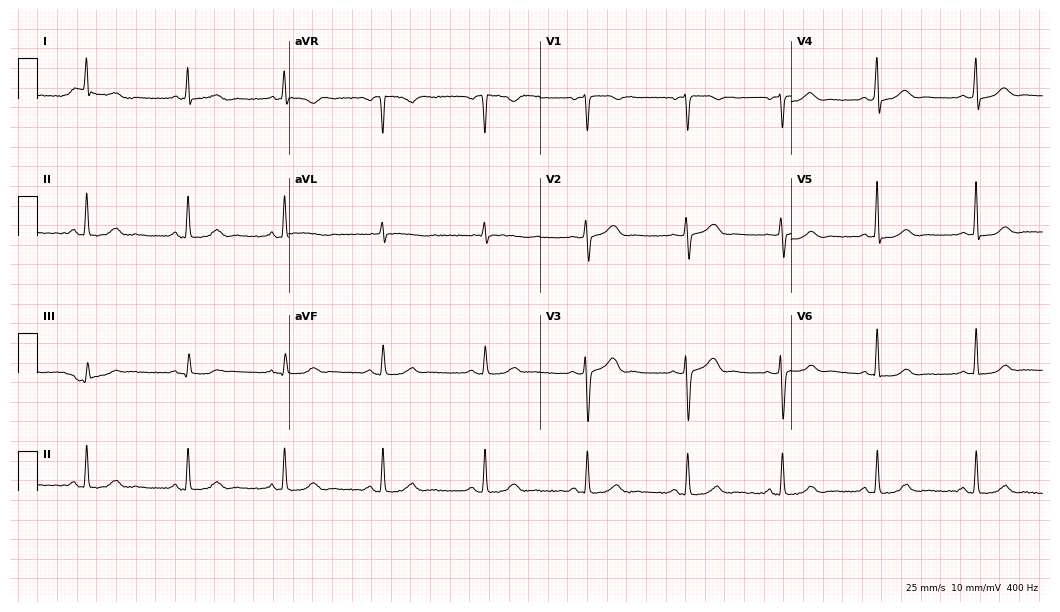
Resting 12-lead electrocardiogram. Patient: a 44-year-old female. Read as a normal ECG.